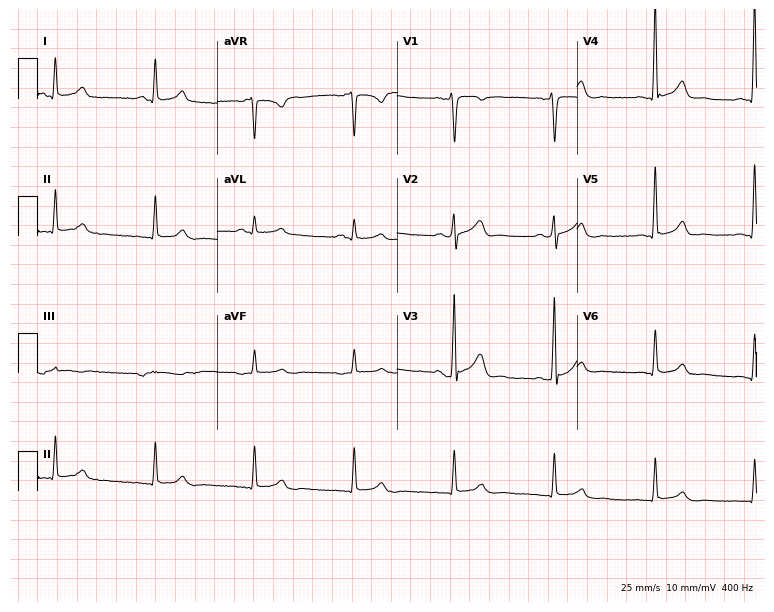
Standard 12-lead ECG recorded from a 59-year-old male (7.3-second recording at 400 Hz). None of these six findings is recorded: first-degree AV block, right bundle branch block, left bundle branch block, sinus bradycardia, atrial fibrillation, sinus tachycardia. Only these six findings were labelled.